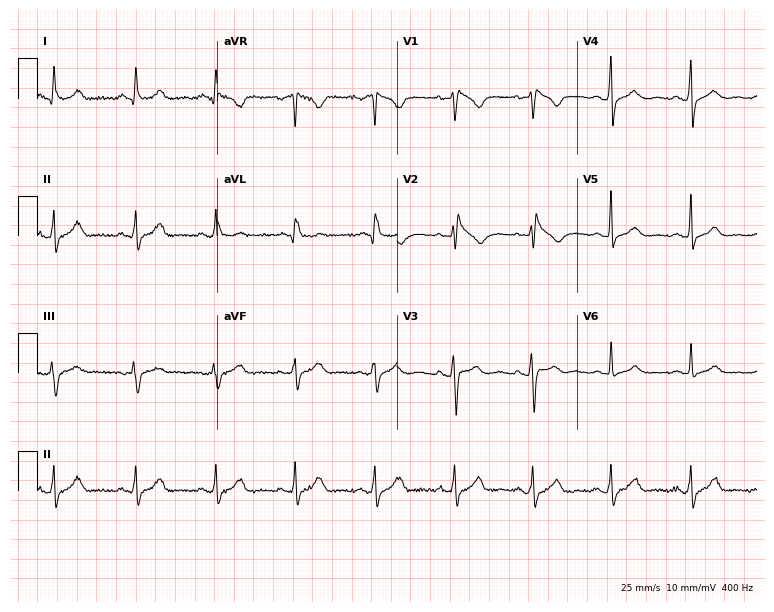
Electrocardiogram, a female patient, 51 years old. Of the six screened findings (first-degree AV block, right bundle branch block, left bundle branch block, sinus bradycardia, atrial fibrillation, sinus tachycardia), none is recorded.